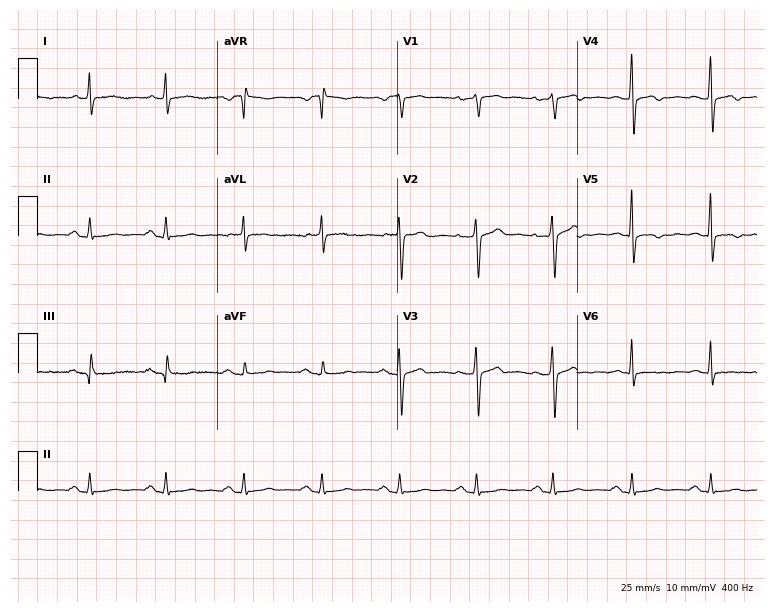
ECG (7.3-second recording at 400 Hz) — a female, 55 years old. Screened for six findings — first-degree AV block, right bundle branch block, left bundle branch block, sinus bradycardia, atrial fibrillation, sinus tachycardia — none is recorded.